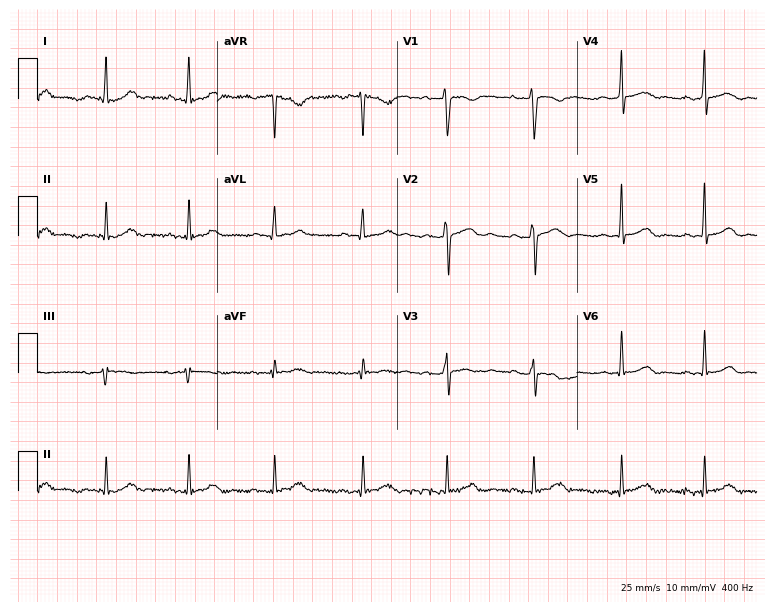
Resting 12-lead electrocardiogram (7.3-second recording at 400 Hz). Patient: a 34-year-old woman. Read as a normal ECG.